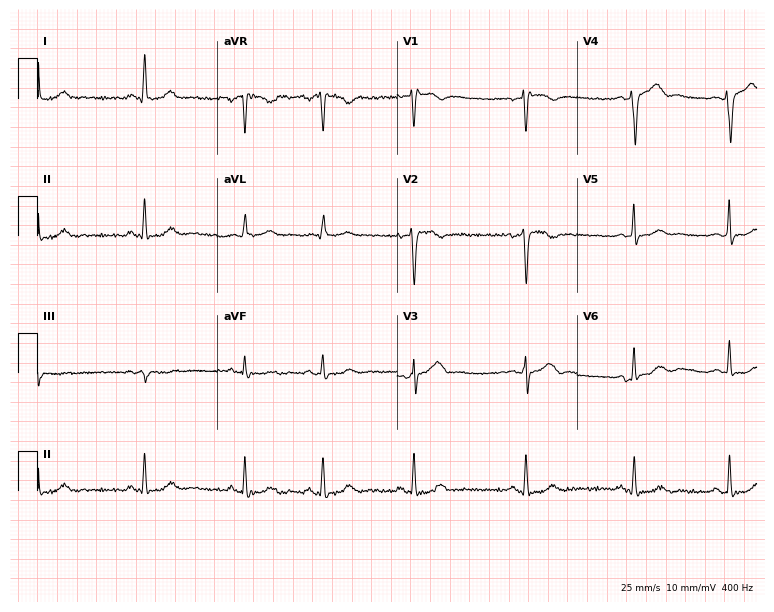
Standard 12-lead ECG recorded from a 32-year-old female (7.3-second recording at 400 Hz). None of these six findings is recorded: first-degree AV block, right bundle branch block, left bundle branch block, sinus bradycardia, atrial fibrillation, sinus tachycardia.